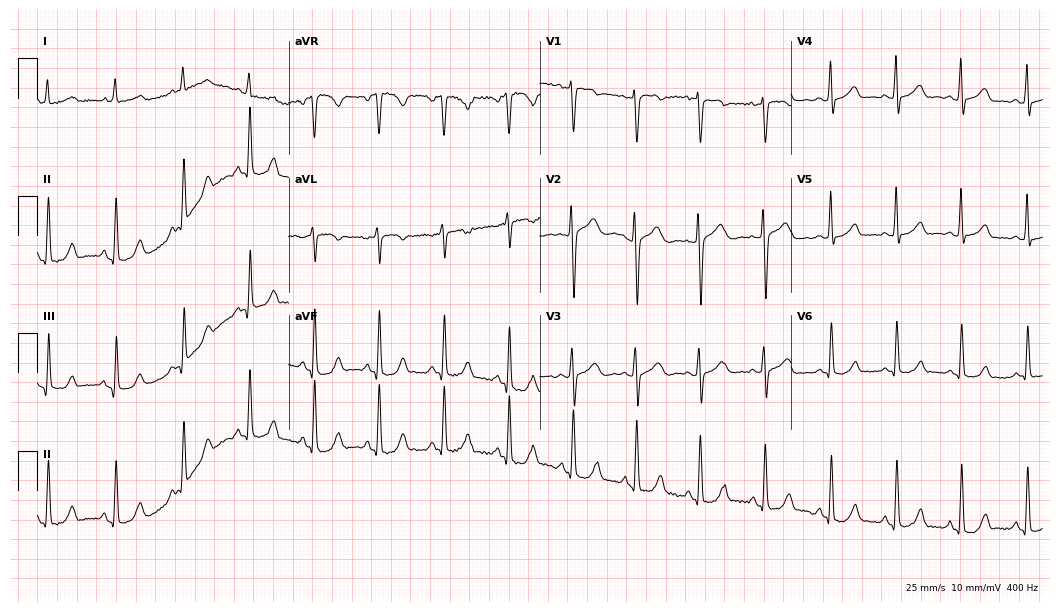
Electrocardiogram (10.2-second recording at 400 Hz), a 42-year-old female. Overall reading on record: normal ECG.